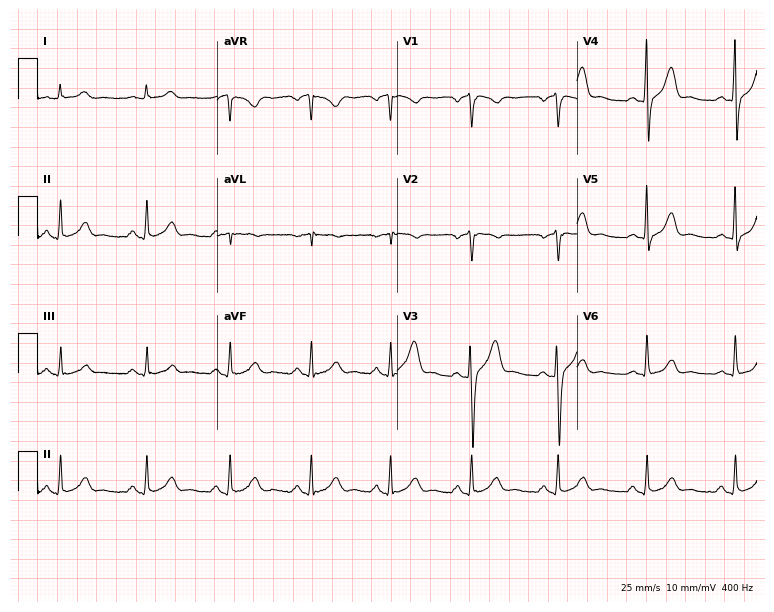
Standard 12-lead ECG recorded from a 45-year-old male patient. Read as a normal ECG.